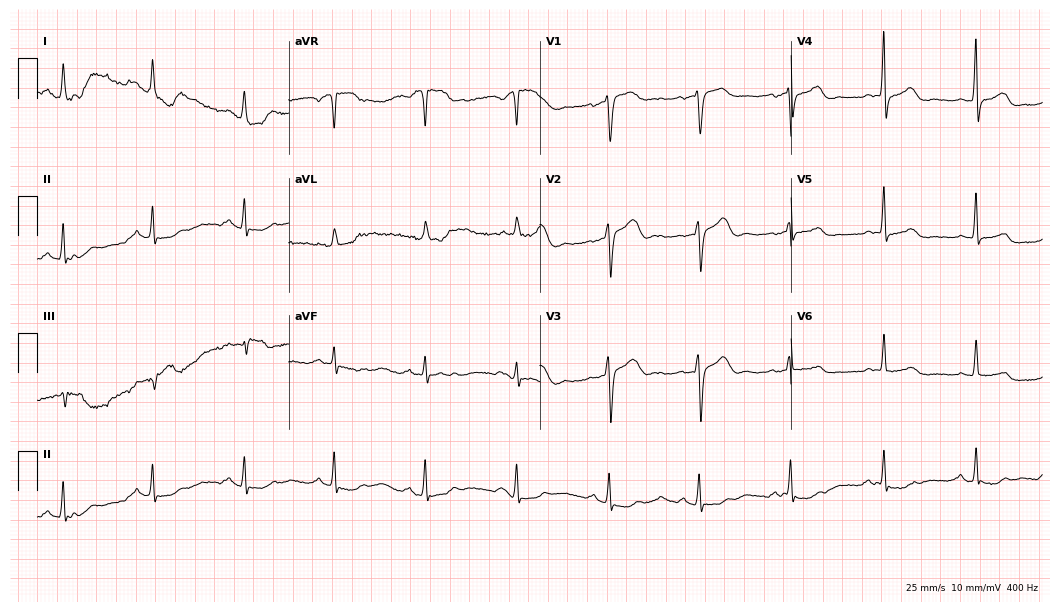
Electrocardiogram (10.2-second recording at 400 Hz), a 65-year-old woman. Of the six screened findings (first-degree AV block, right bundle branch block (RBBB), left bundle branch block (LBBB), sinus bradycardia, atrial fibrillation (AF), sinus tachycardia), none is recorded. Only these six findings were labelled.